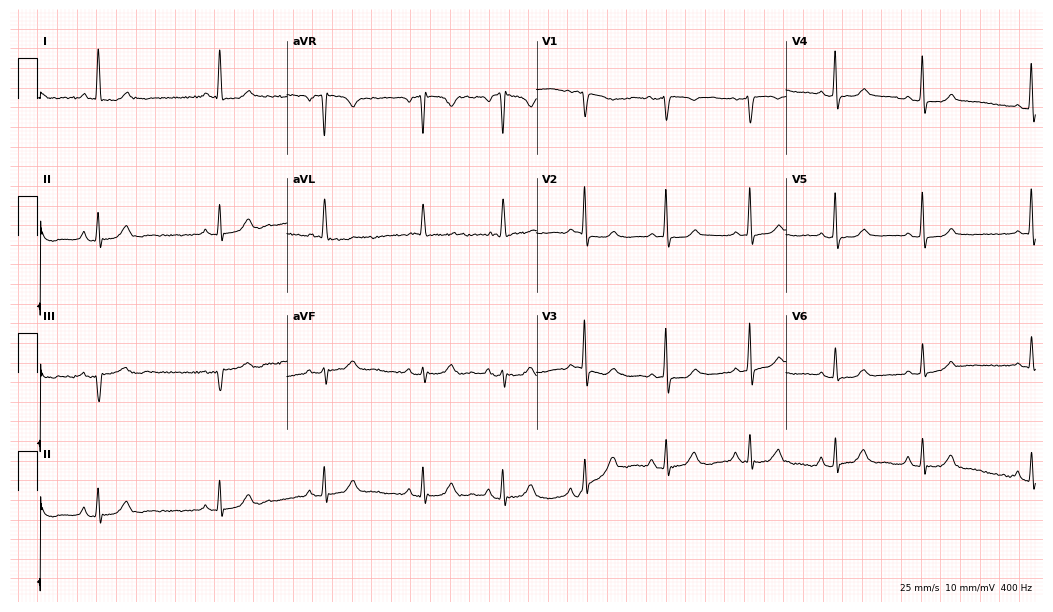
Standard 12-lead ECG recorded from a woman, 49 years old (10.2-second recording at 400 Hz). Read as a normal ECG.